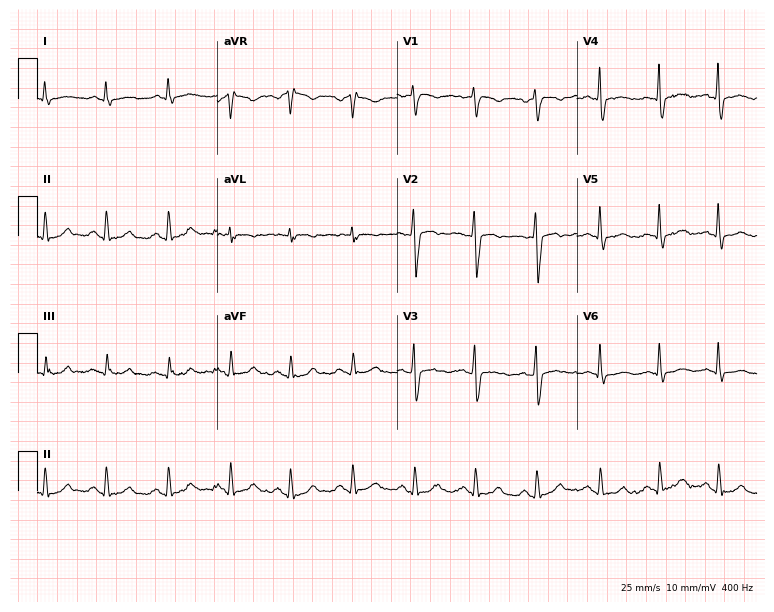
12-lead ECG from a 38-year-old female. No first-degree AV block, right bundle branch block (RBBB), left bundle branch block (LBBB), sinus bradycardia, atrial fibrillation (AF) or sinus tachycardia recorded for this tracing. Only these six findings were labelled.